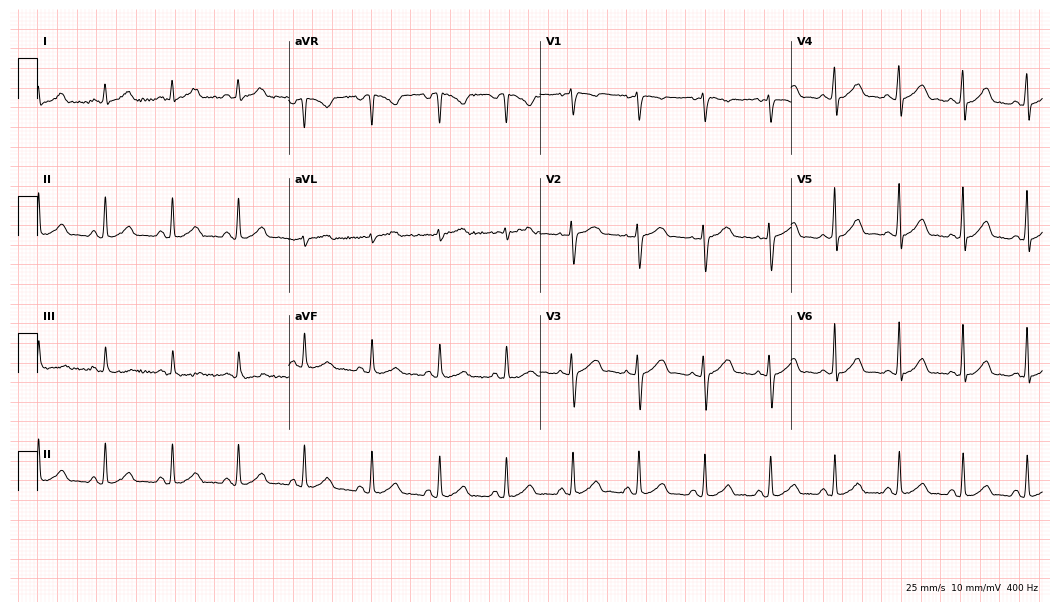
Standard 12-lead ECG recorded from a 37-year-old woman. Read as a normal ECG.